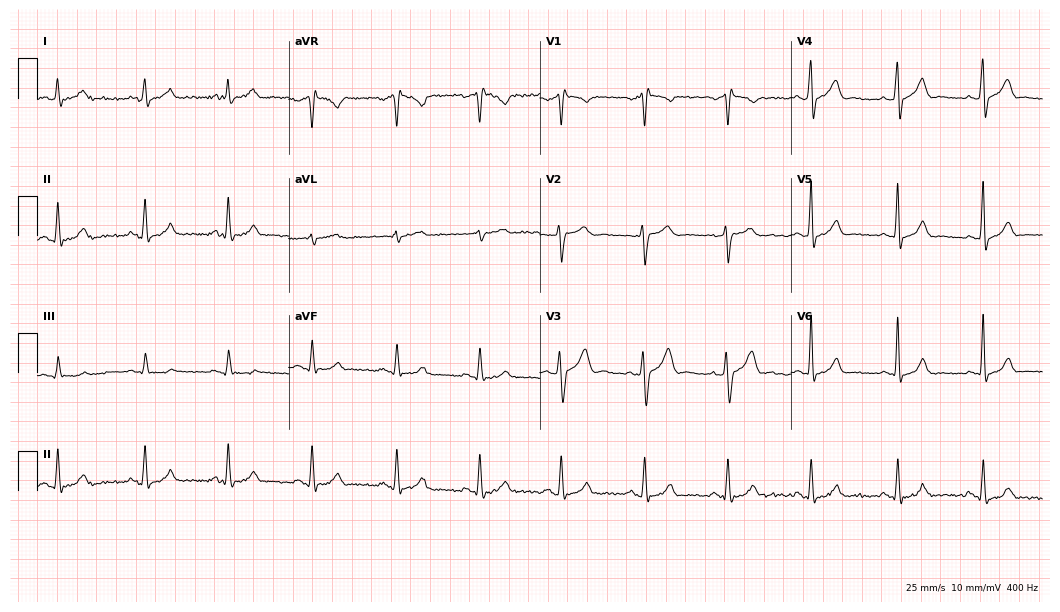
Standard 12-lead ECG recorded from a 44-year-old man. None of these six findings is recorded: first-degree AV block, right bundle branch block, left bundle branch block, sinus bradycardia, atrial fibrillation, sinus tachycardia.